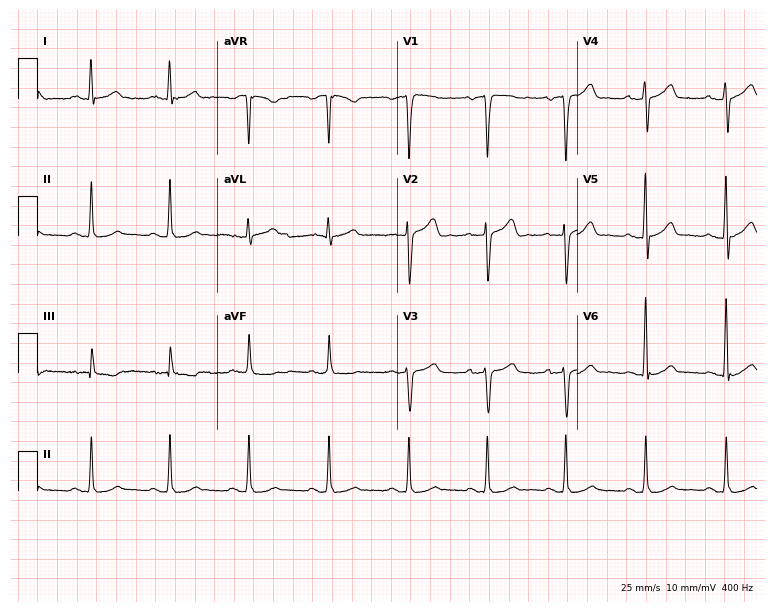
ECG (7.3-second recording at 400 Hz) — a man, 57 years old. Labelled as a normal ECG.